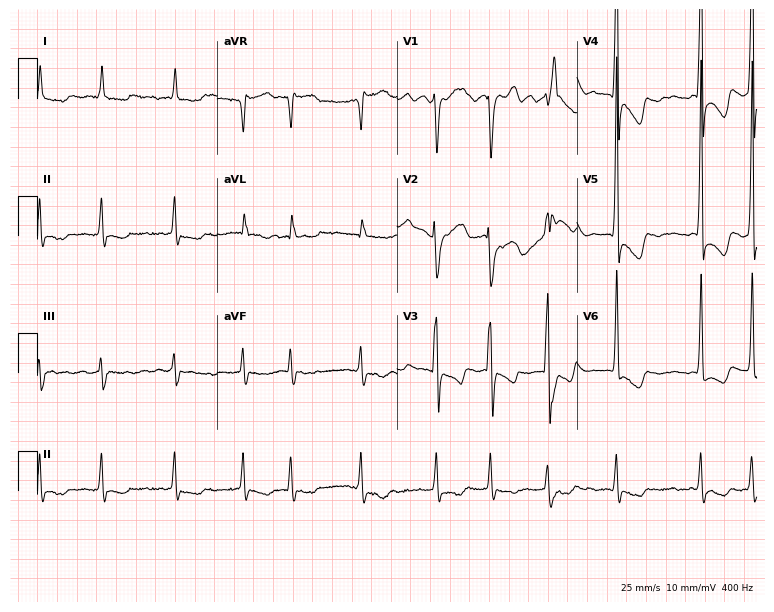
ECG (7.3-second recording at 400 Hz) — a male patient, 83 years old. Findings include atrial fibrillation.